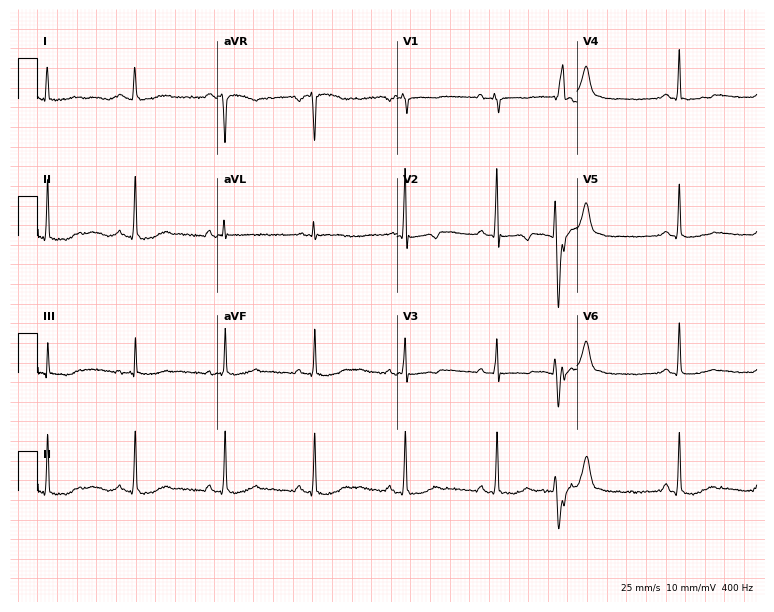
12-lead ECG from a 47-year-old female. Screened for six findings — first-degree AV block, right bundle branch block, left bundle branch block, sinus bradycardia, atrial fibrillation, sinus tachycardia — none is recorded.